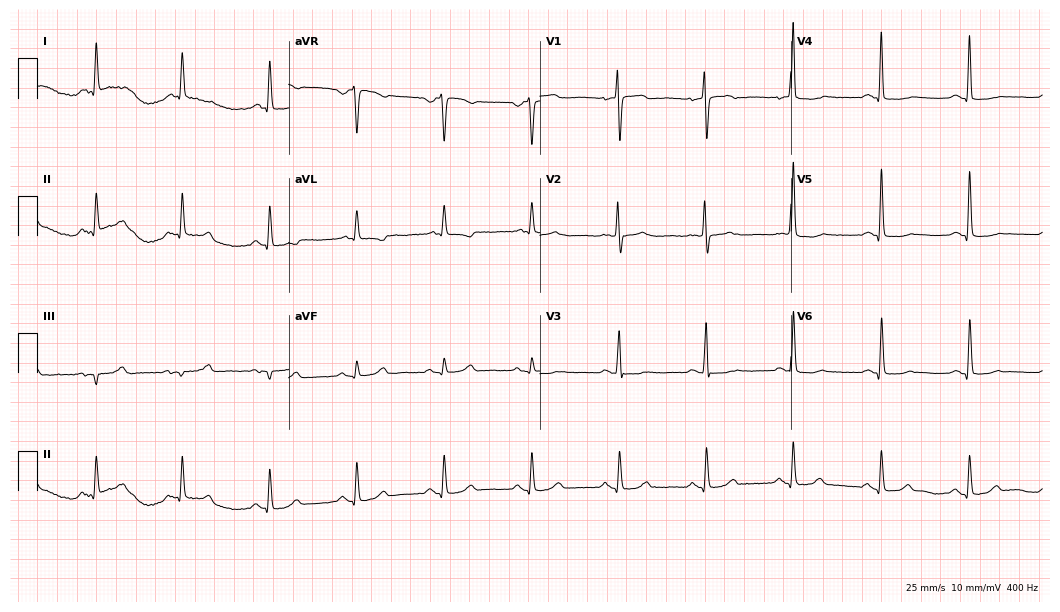
ECG (10.2-second recording at 400 Hz) — a 60-year-old female. Screened for six findings — first-degree AV block, right bundle branch block, left bundle branch block, sinus bradycardia, atrial fibrillation, sinus tachycardia — none is recorded. Only these six findings were labelled.